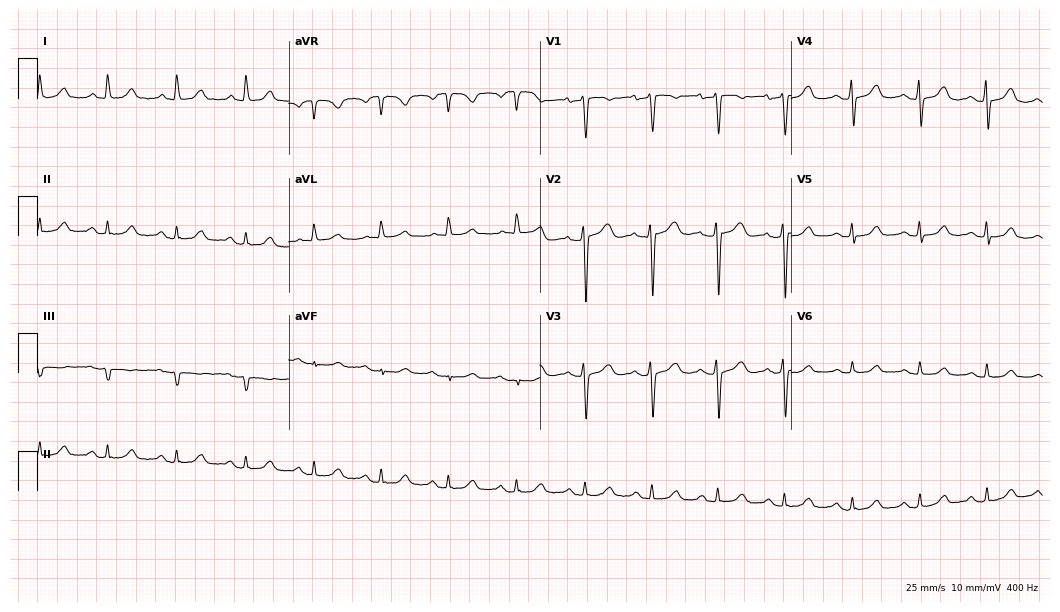
ECG — a 69-year-old male. Screened for six findings — first-degree AV block, right bundle branch block (RBBB), left bundle branch block (LBBB), sinus bradycardia, atrial fibrillation (AF), sinus tachycardia — none is recorded. Other findings, if any, are not listed.